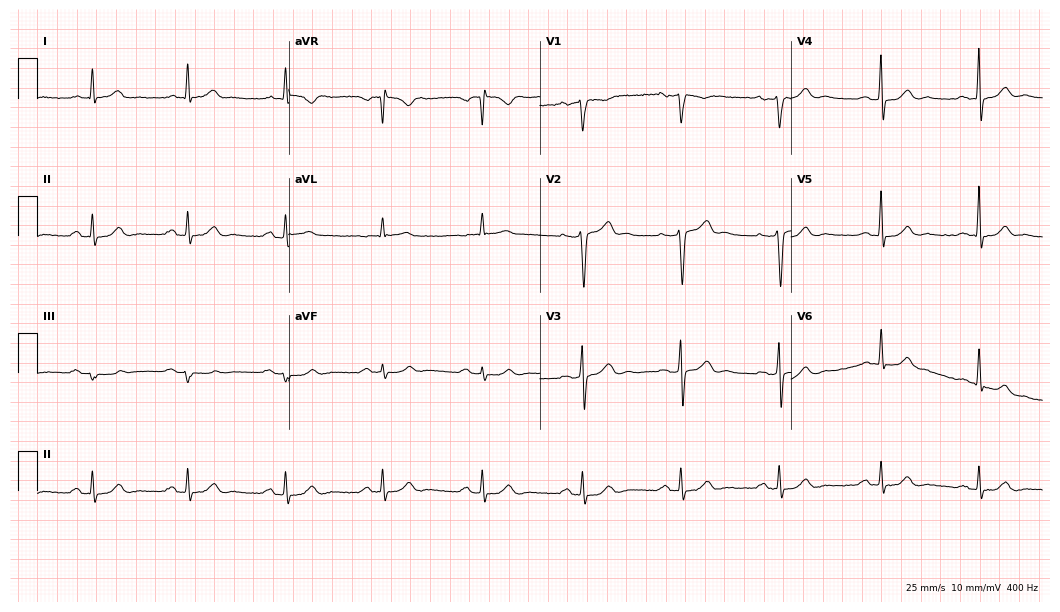
12-lead ECG from a 60-year-old male patient. Recorded interpretation: within normal limits.